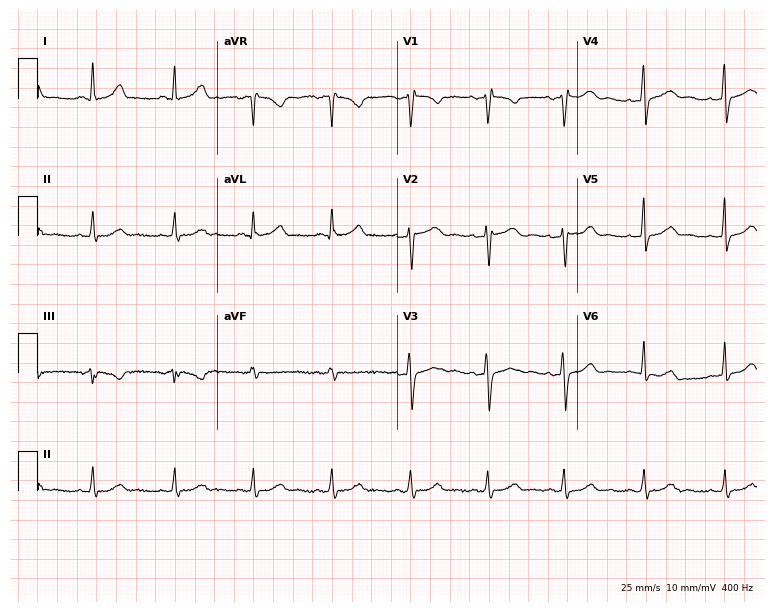
12-lead ECG from a 26-year-old man (7.3-second recording at 400 Hz). Recorded interpretation: within normal limits.